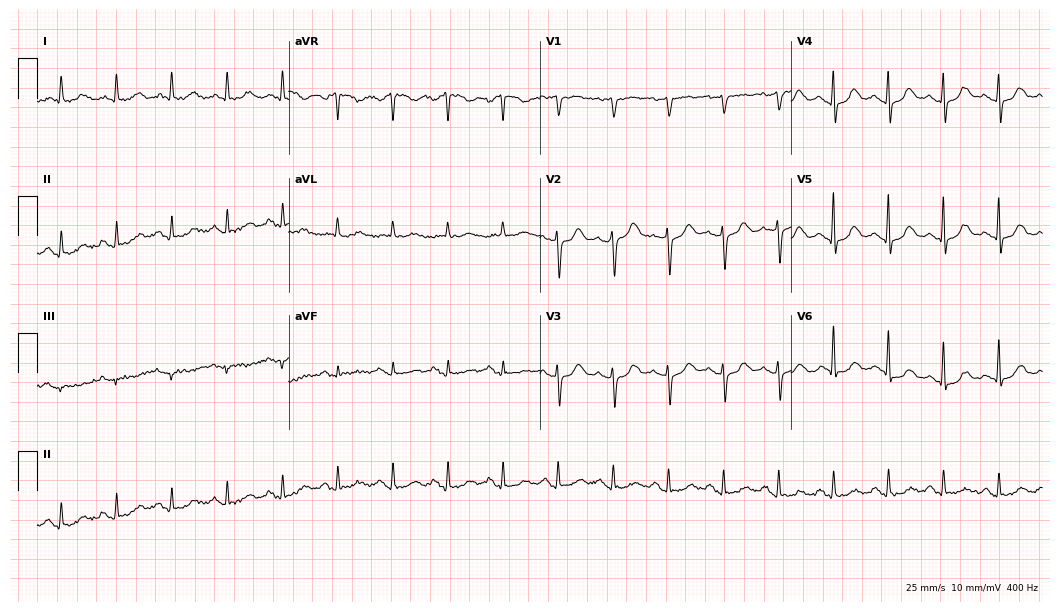
ECG — a 79-year-old female patient. Findings include sinus tachycardia (a sinus rate of 100 beats per minute or more).